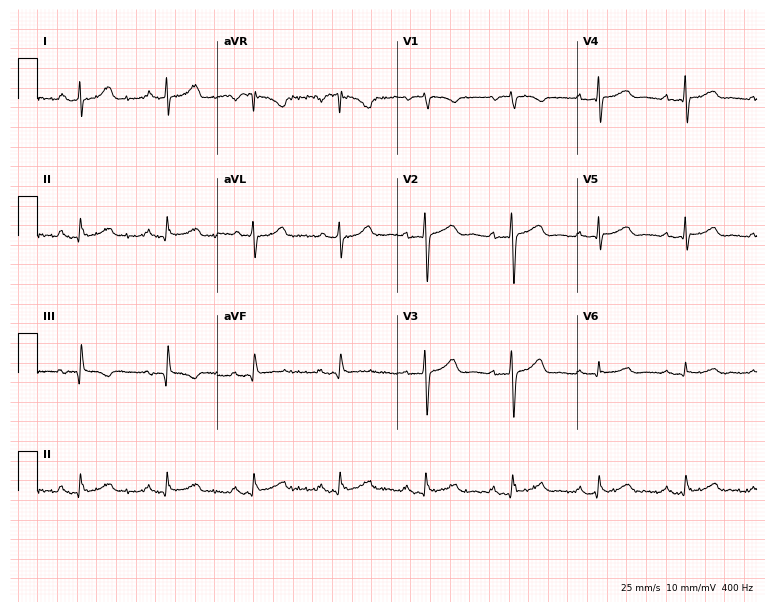
12-lead ECG from a female patient, 61 years old (7.3-second recording at 400 Hz). Recorded interpretation: within normal limits.